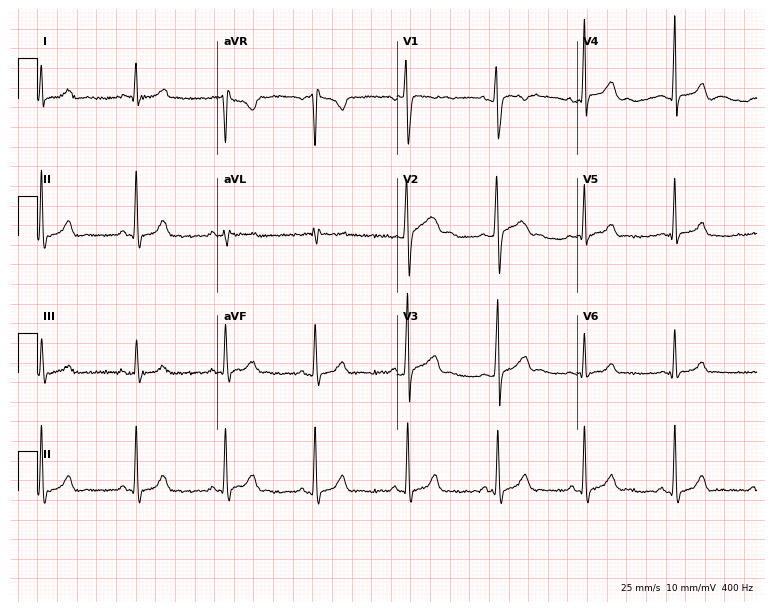
12-lead ECG (7.3-second recording at 400 Hz) from a 17-year-old man. Labelled as a normal ECG.